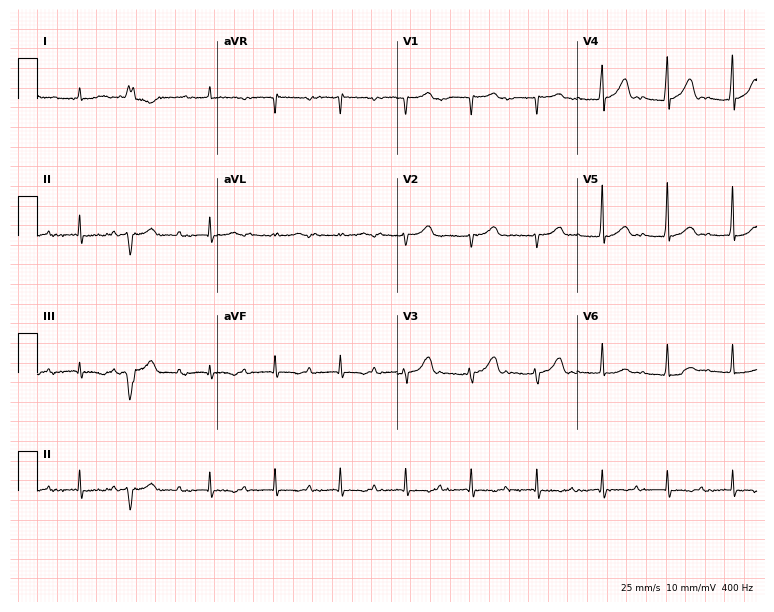
Standard 12-lead ECG recorded from a man, 81 years old (7.3-second recording at 400 Hz). The tracing shows first-degree AV block.